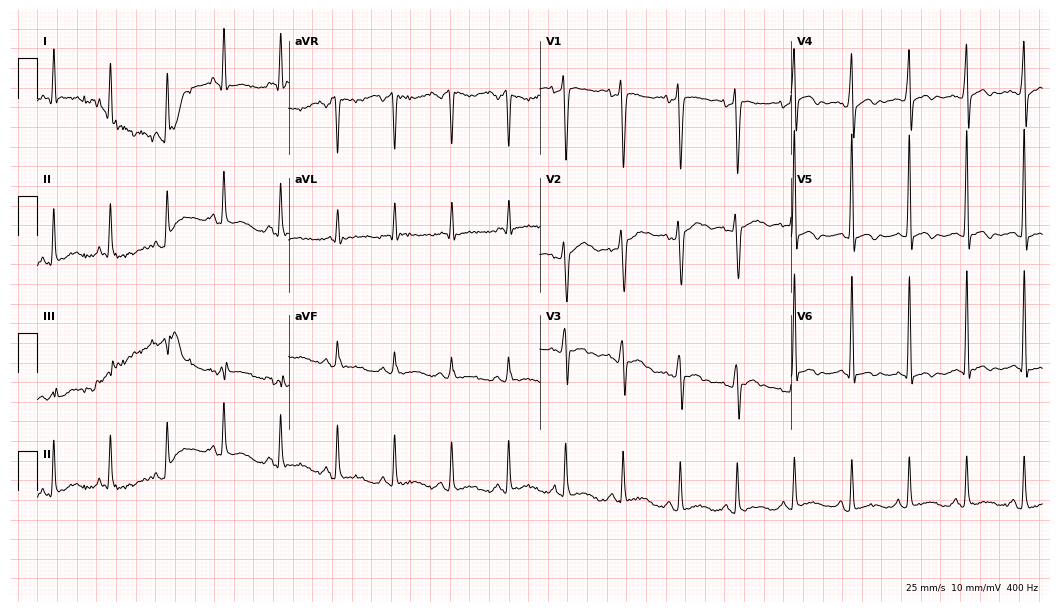
Standard 12-lead ECG recorded from a 44-year-old woman. None of these six findings is recorded: first-degree AV block, right bundle branch block (RBBB), left bundle branch block (LBBB), sinus bradycardia, atrial fibrillation (AF), sinus tachycardia. Only these six findings were labelled.